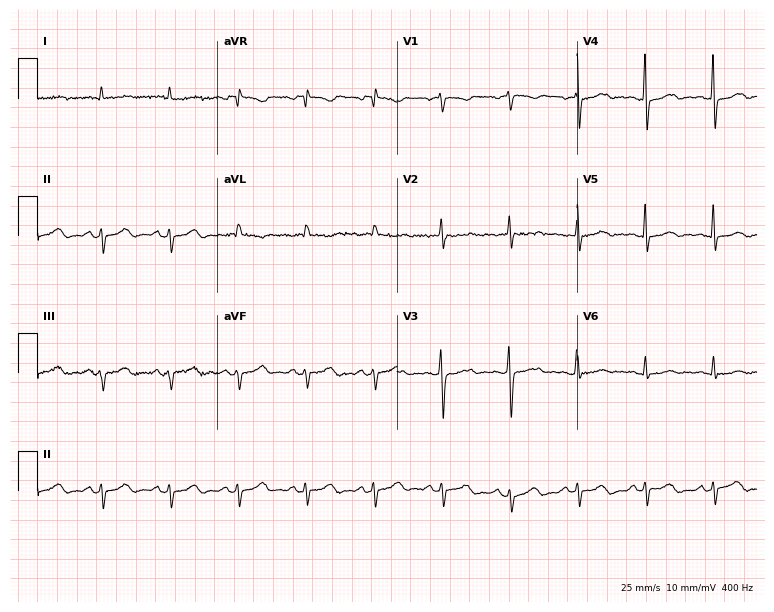
12-lead ECG from a female patient, 75 years old. Screened for six findings — first-degree AV block, right bundle branch block, left bundle branch block, sinus bradycardia, atrial fibrillation, sinus tachycardia — none is recorded. Other findings, if any, are not listed.